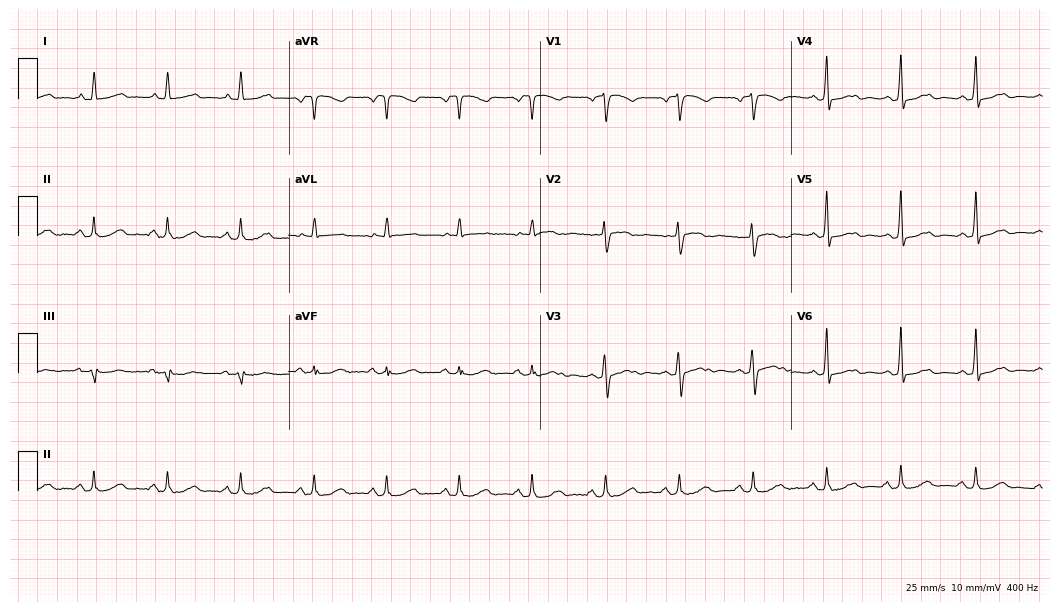
Standard 12-lead ECG recorded from a 37-year-old woman. None of these six findings is recorded: first-degree AV block, right bundle branch block (RBBB), left bundle branch block (LBBB), sinus bradycardia, atrial fibrillation (AF), sinus tachycardia.